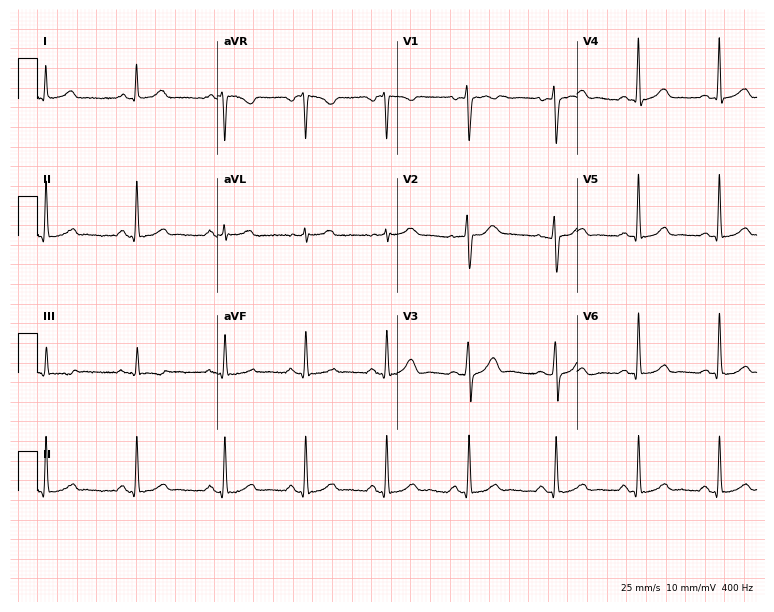
12-lead ECG from a 41-year-old female patient. Labelled as a normal ECG.